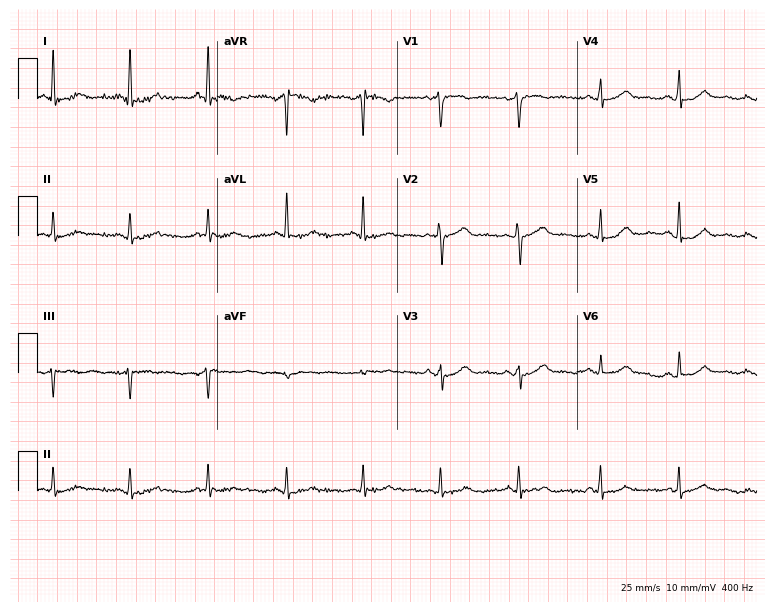
12-lead ECG from a 69-year-old woman (7.3-second recording at 400 Hz). Recorded interpretation: within normal limits.